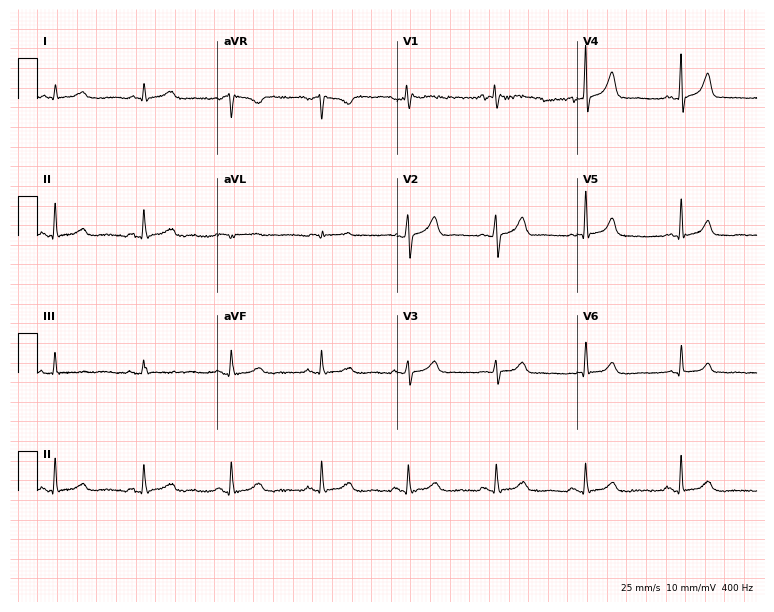
12-lead ECG (7.3-second recording at 400 Hz) from a 68-year-old male patient. Screened for six findings — first-degree AV block, right bundle branch block, left bundle branch block, sinus bradycardia, atrial fibrillation, sinus tachycardia — none is recorded. Only these six findings were labelled.